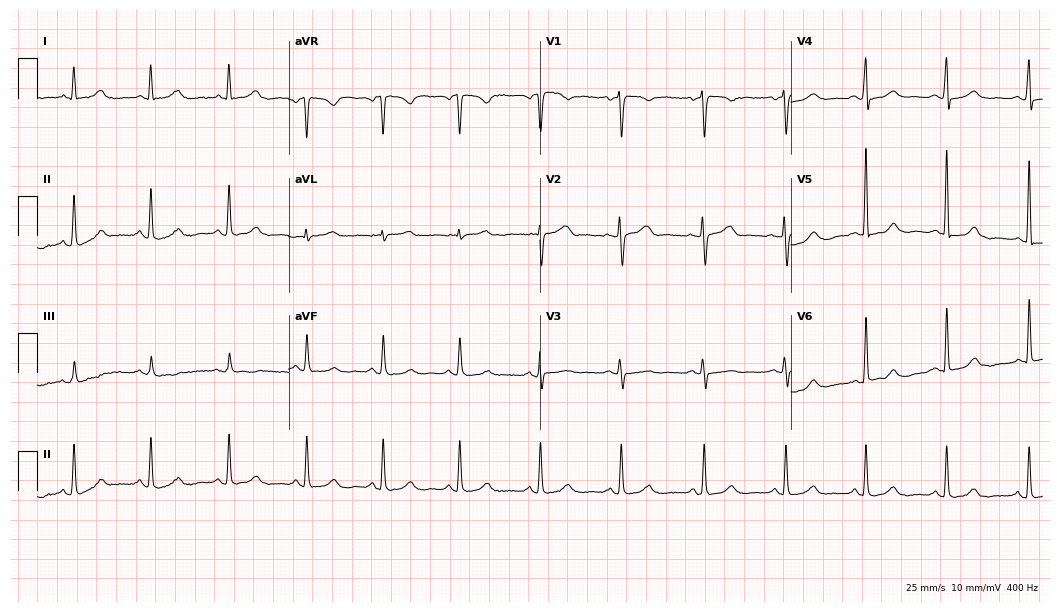
Standard 12-lead ECG recorded from a 49-year-old woman. Read as a normal ECG.